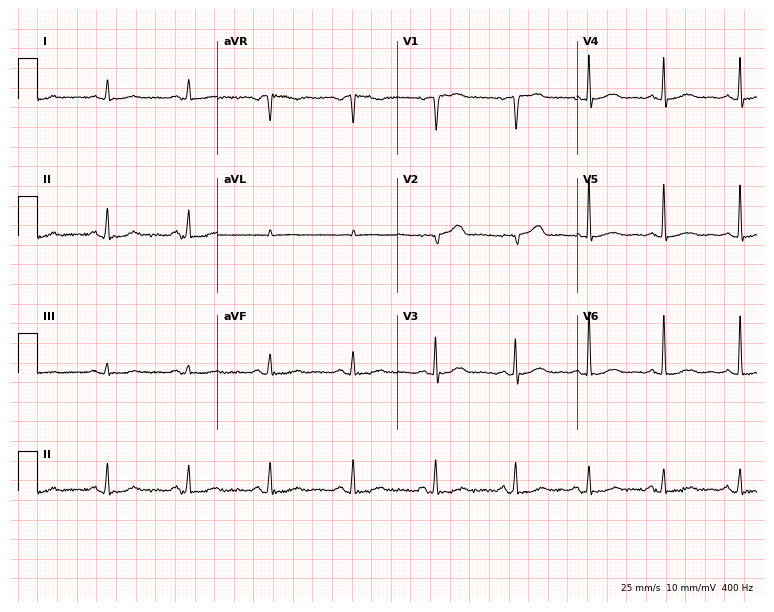
Resting 12-lead electrocardiogram (7.3-second recording at 400 Hz). Patient: a 56-year-old female. None of these six findings is recorded: first-degree AV block, right bundle branch block, left bundle branch block, sinus bradycardia, atrial fibrillation, sinus tachycardia.